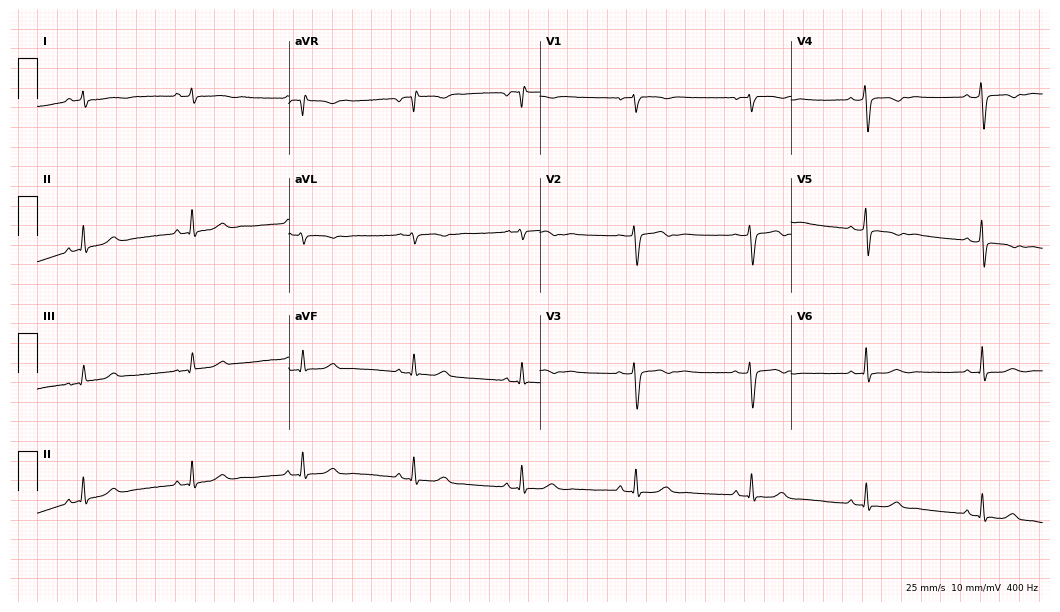
12-lead ECG from a 34-year-old female. No first-degree AV block, right bundle branch block, left bundle branch block, sinus bradycardia, atrial fibrillation or sinus tachycardia recorded for this tracing.